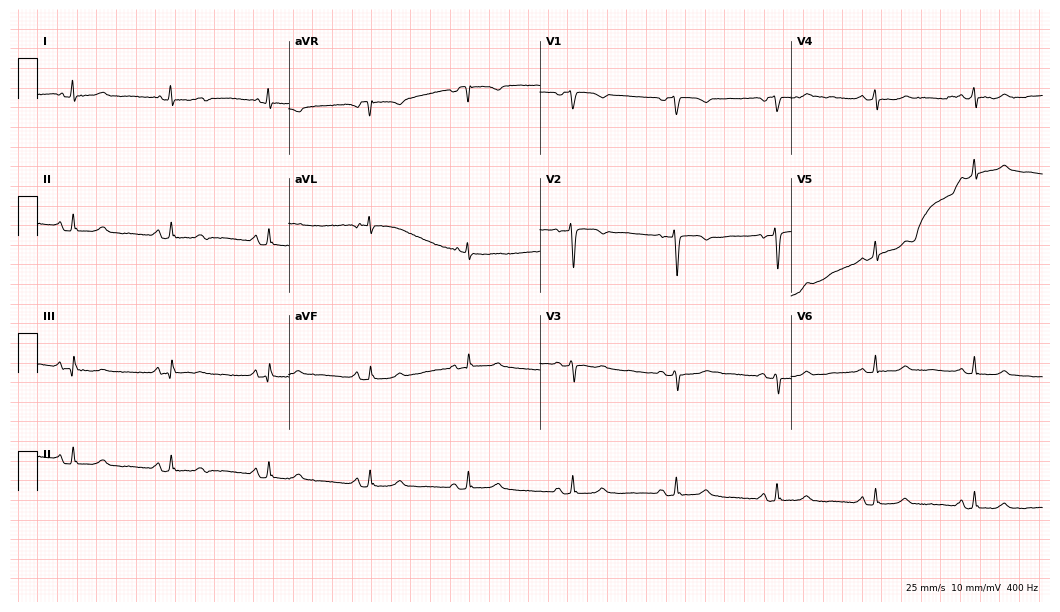
Standard 12-lead ECG recorded from a female patient, 64 years old. Read as a normal ECG.